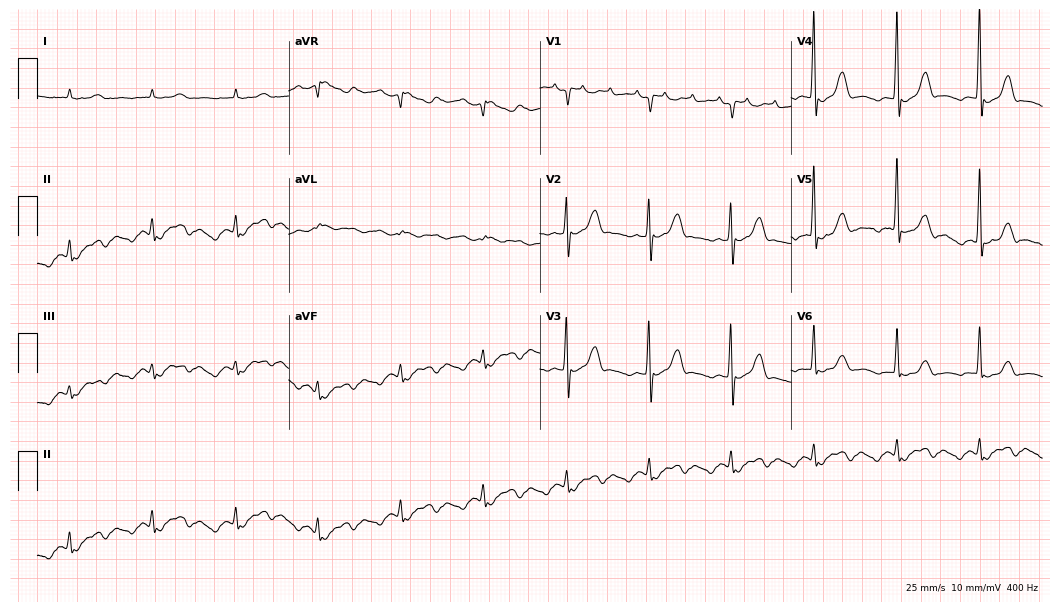
Resting 12-lead electrocardiogram. Patient: a female, 74 years old. None of these six findings is recorded: first-degree AV block, right bundle branch block, left bundle branch block, sinus bradycardia, atrial fibrillation, sinus tachycardia.